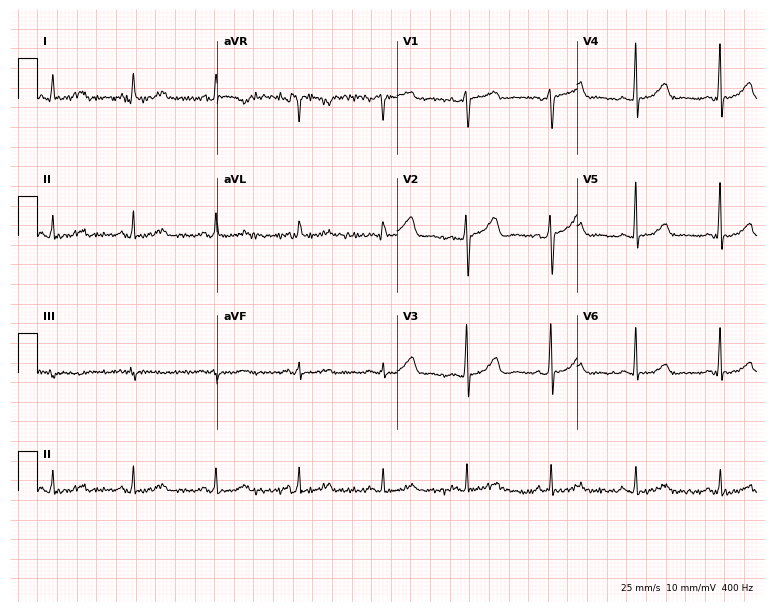
Electrocardiogram, a female patient, 52 years old. Of the six screened findings (first-degree AV block, right bundle branch block, left bundle branch block, sinus bradycardia, atrial fibrillation, sinus tachycardia), none is recorded.